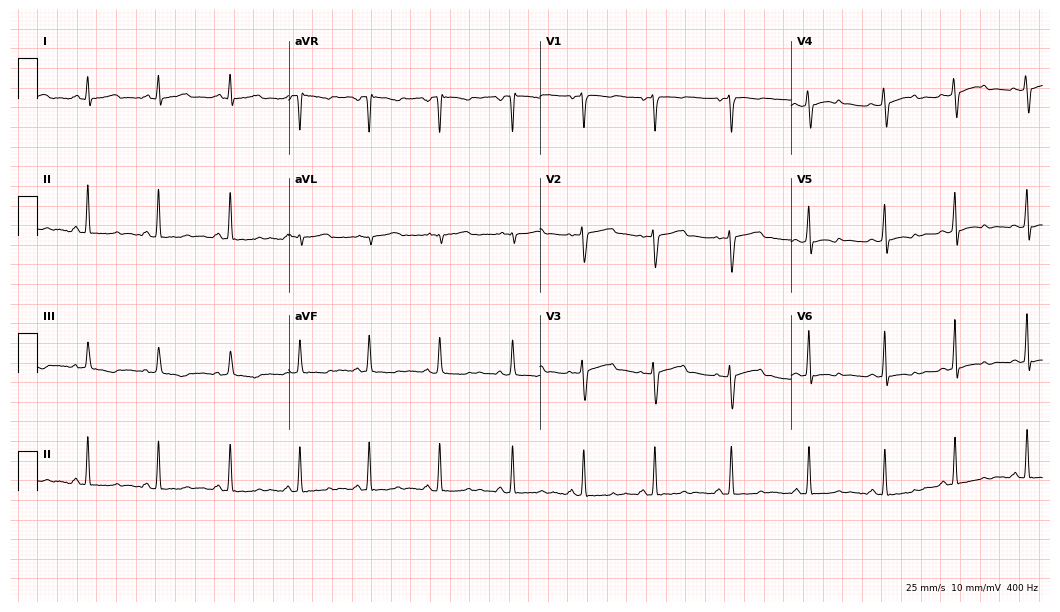
Electrocardiogram, a female patient, 32 years old. Of the six screened findings (first-degree AV block, right bundle branch block (RBBB), left bundle branch block (LBBB), sinus bradycardia, atrial fibrillation (AF), sinus tachycardia), none is recorded. Only these six findings were labelled.